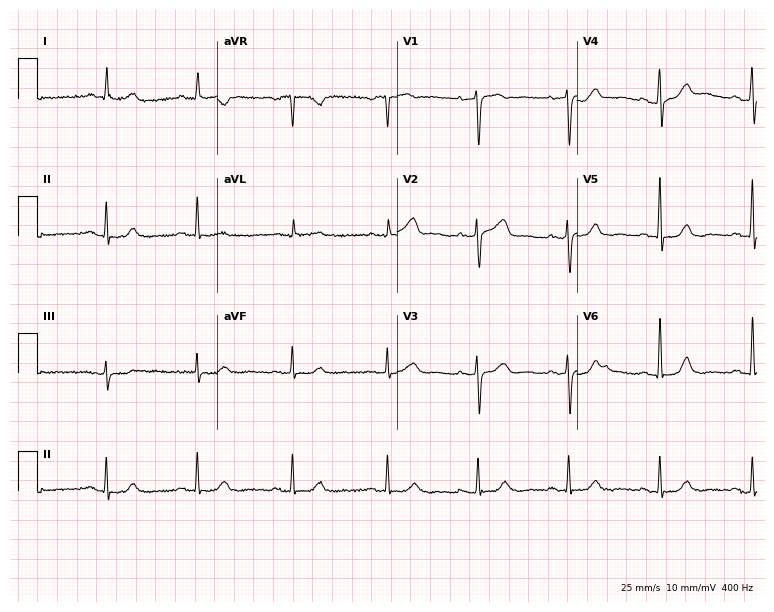
Standard 12-lead ECG recorded from a woman, 64 years old. Read as a normal ECG.